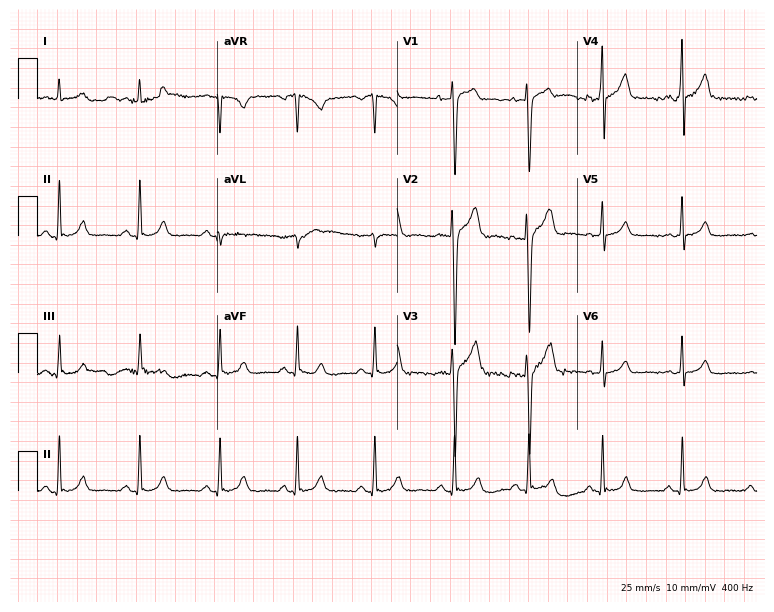
12-lead ECG from a male patient, 43 years old (7.3-second recording at 400 Hz). No first-degree AV block, right bundle branch block (RBBB), left bundle branch block (LBBB), sinus bradycardia, atrial fibrillation (AF) or sinus tachycardia recorded for this tracing.